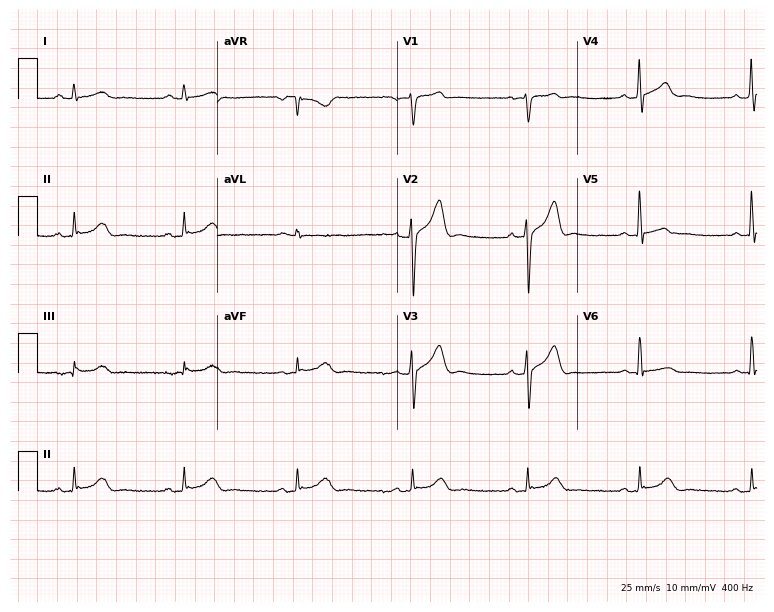
Electrocardiogram (7.3-second recording at 400 Hz), a male patient, 52 years old. Overall reading on record: normal ECG.